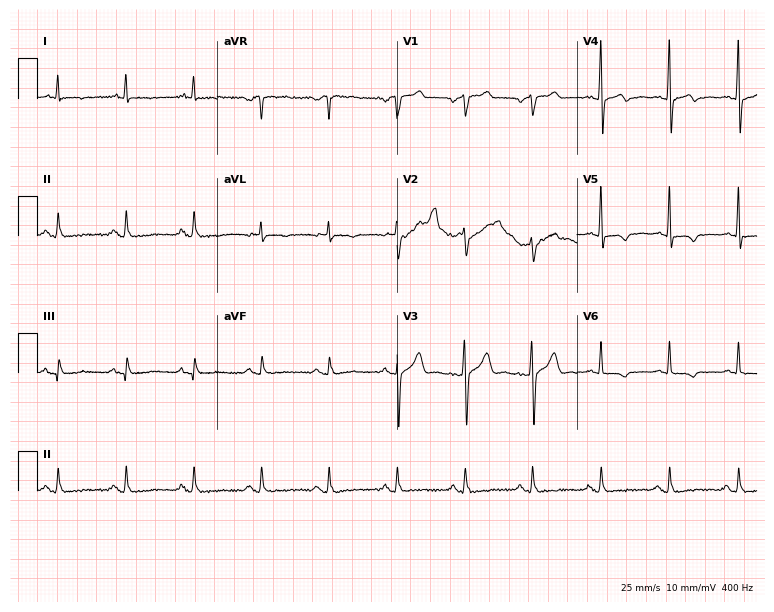
12-lead ECG from a 56-year-old male. Screened for six findings — first-degree AV block, right bundle branch block (RBBB), left bundle branch block (LBBB), sinus bradycardia, atrial fibrillation (AF), sinus tachycardia — none is recorded.